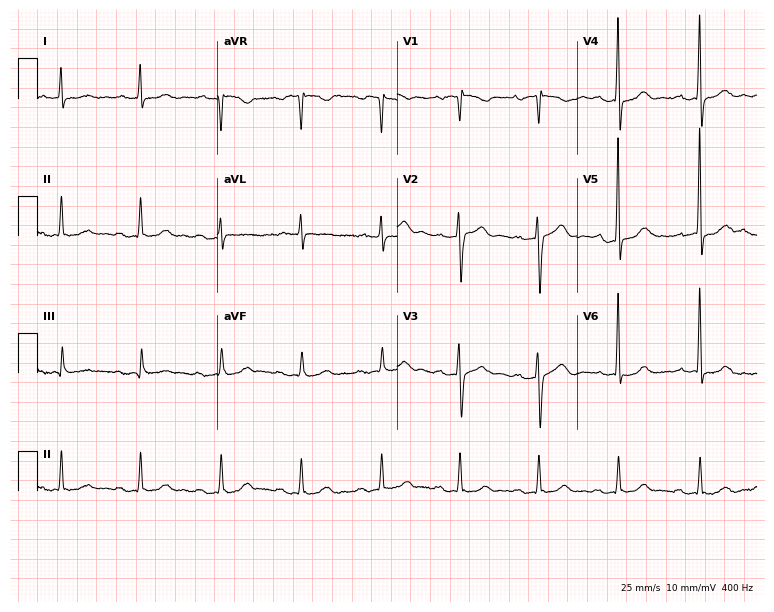
12-lead ECG from a male, 84 years old (7.3-second recording at 400 Hz). No first-degree AV block, right bundle branch block (RBBB), left bundle branch block (LBBB), sinus bradycardia, atrial fibrillation (AF) or sinus tachycardia recorded for this tracing.